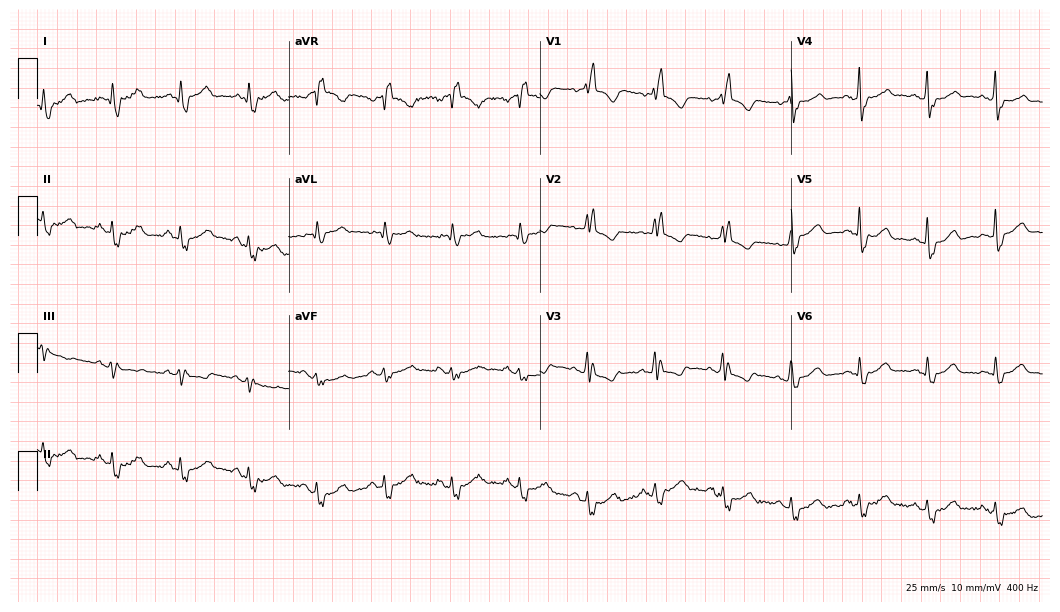
Electrocardiogram (10.2-second recording at 400 Hz), a female patient, 79 years old. Of the six screened findings (first-degree AV block, right bundle branch block, left bundle branch block, sinus bradycardia, atrial fibrillation, sinus tachycardia), none is recorded. Findings outside these six are not listed.